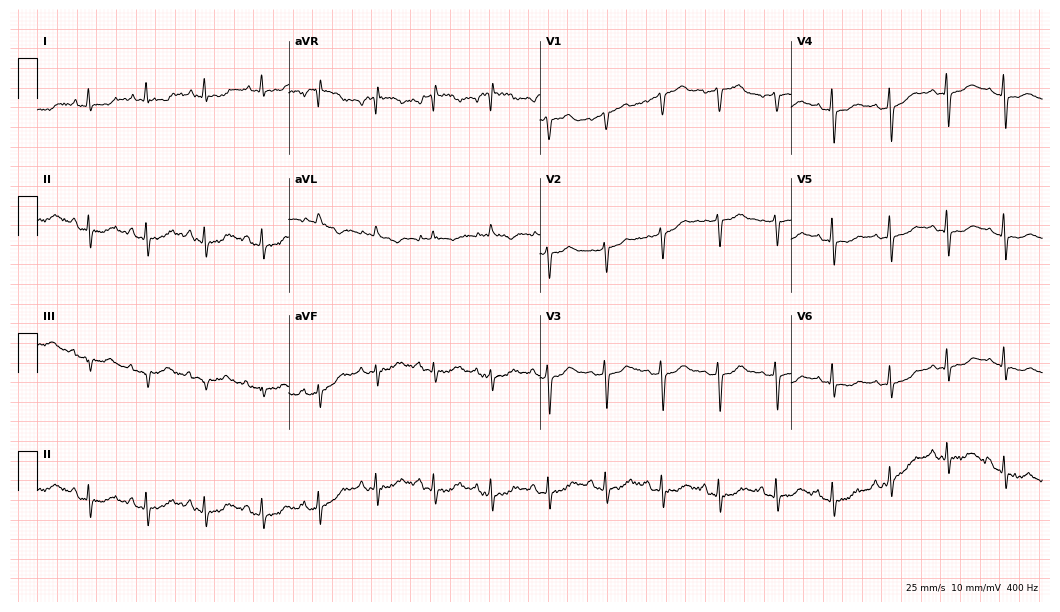
ECG (10.2-second recording at 400 Hz) — a 61-year-old female patient. Findings include sinus tachycardia (a sinus rate of 100 beats per minute or more).